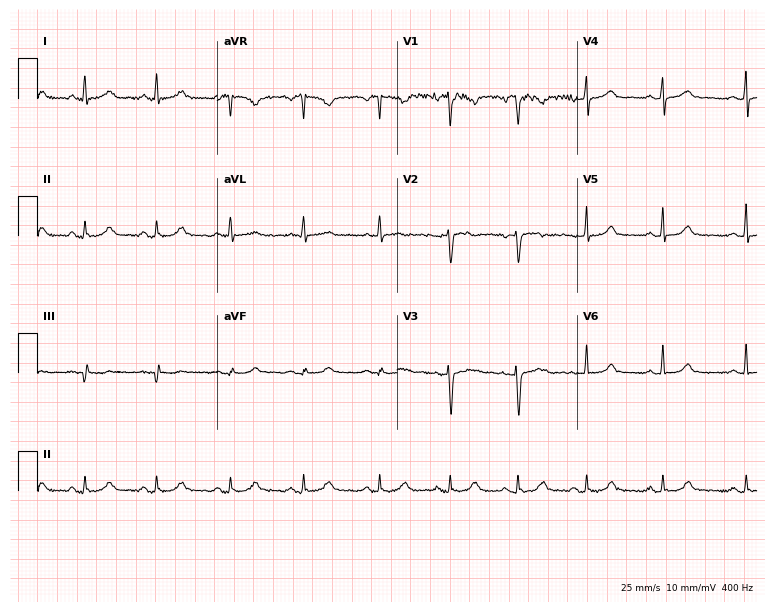
Standard 12-lead ECG recorded from a 41-year-old female patient. None of these six findings is recorded: first-degree AV block, right bundle branch block, left bundle branch block, sinus bradycardia, atrial fibrillation, sinus tachycardia.